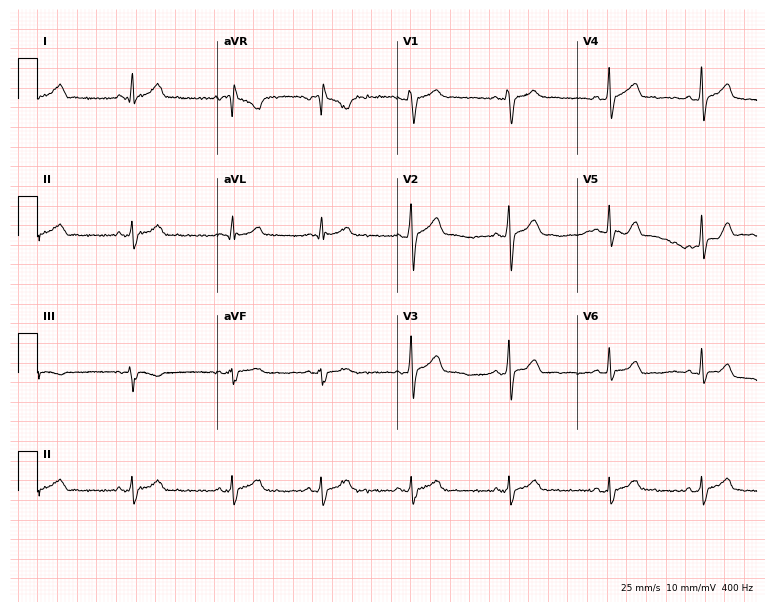
Resting 12-lead electrocardiogram (7.3-second recording at 400 Hz). Patient: a 21-year-old male. Read as a normal ECG.